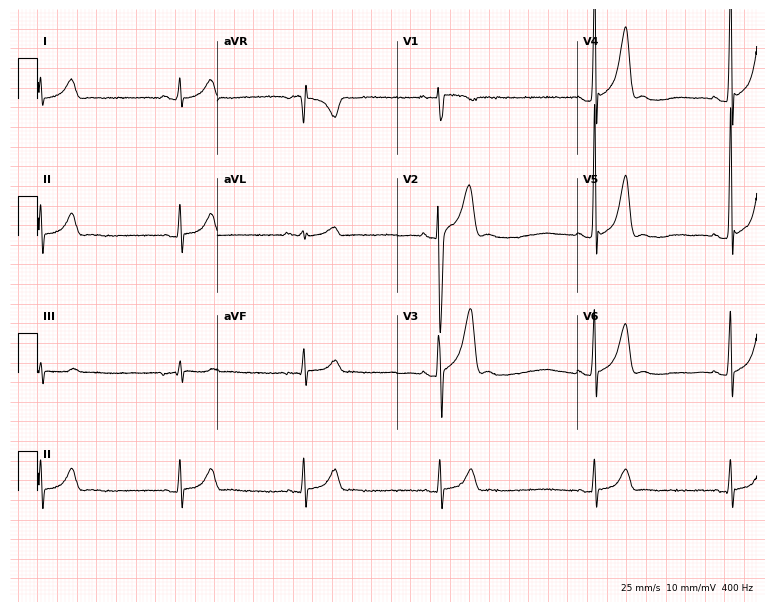
Standard 12-lead ECG recorded from a 21-year-old man (7.3-second recording at 400 Hz). The tracing shows sinus bradycardia (a sinus rate of 50 beats per minute or less).